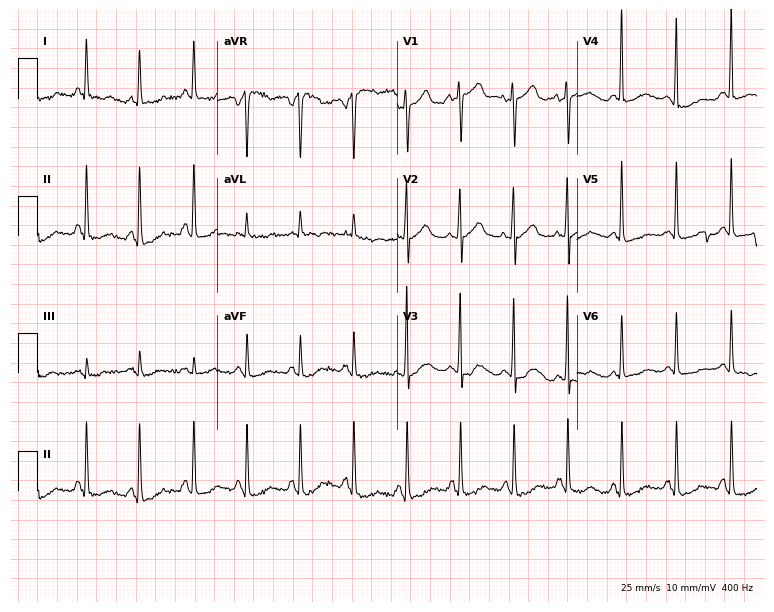
Electrocardiogram, a 78-year-old woman. Interpretation includes sinus tachycardia (a sinus rate of 100 beats per minute or more).